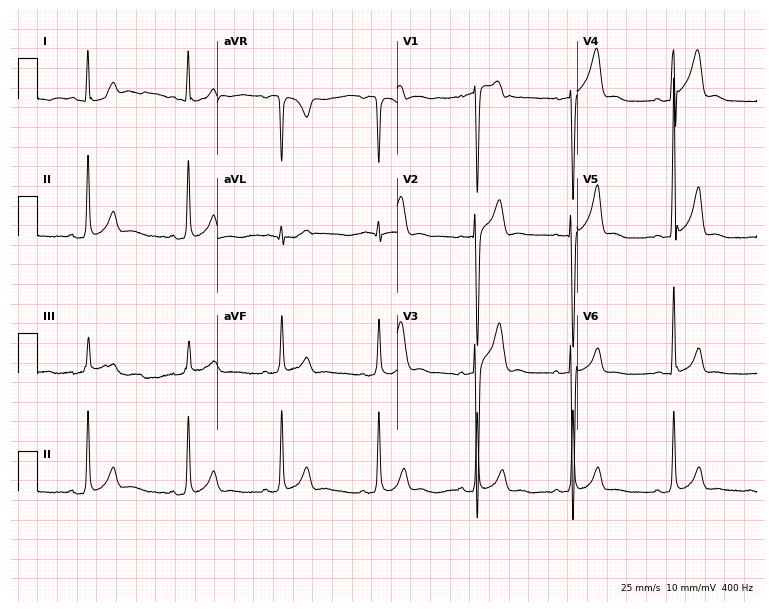
Electrocardiogram (7.3-second recording at 400 Hz), a 26-year-old male patient. Overall reading on record: normal ECG.